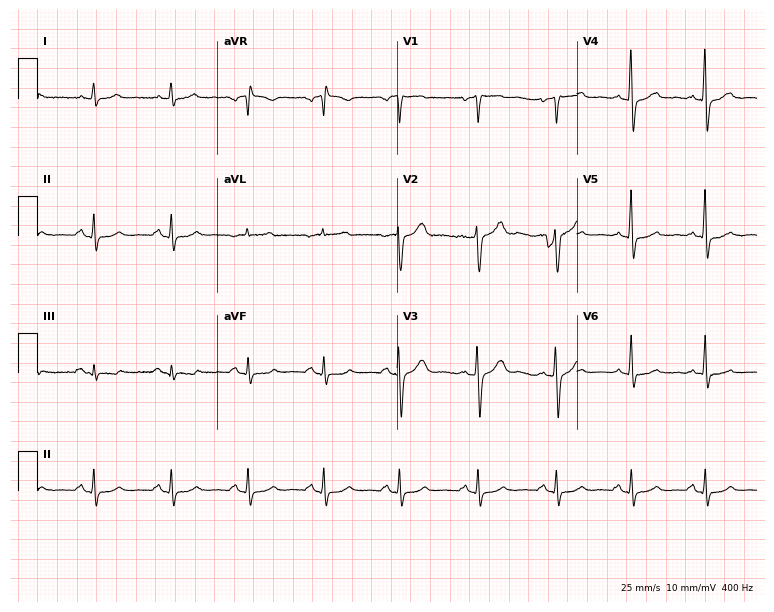
12-lead ECG from a 46-year-old male. Recorded interpretation: within normal limits.